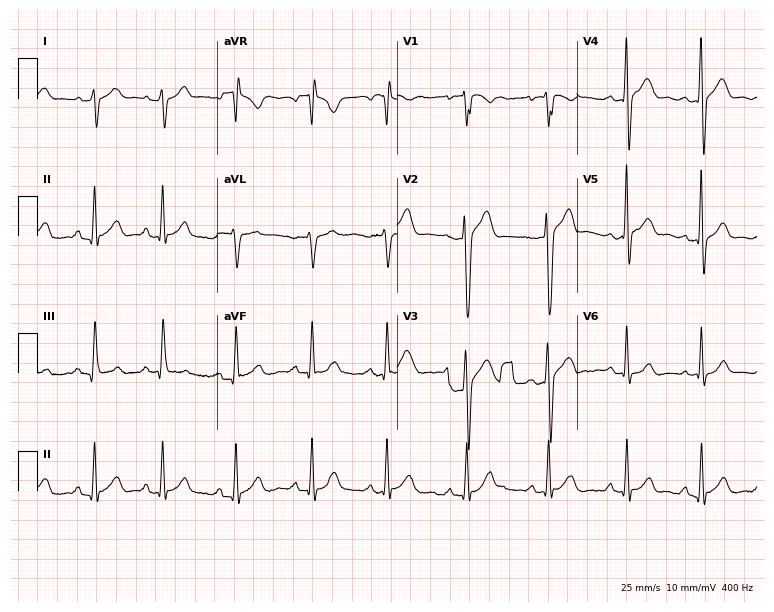
12-lead ECG from a 30-year-old male (7.3-second recording at 400 Hz). No first-degree AV block, right bundle branch block (RBBB), left bundle branch block (LBBB), sinus bradycardia, atrial fibrillation (AF) or sinus tachycardia recorded for this tracing.